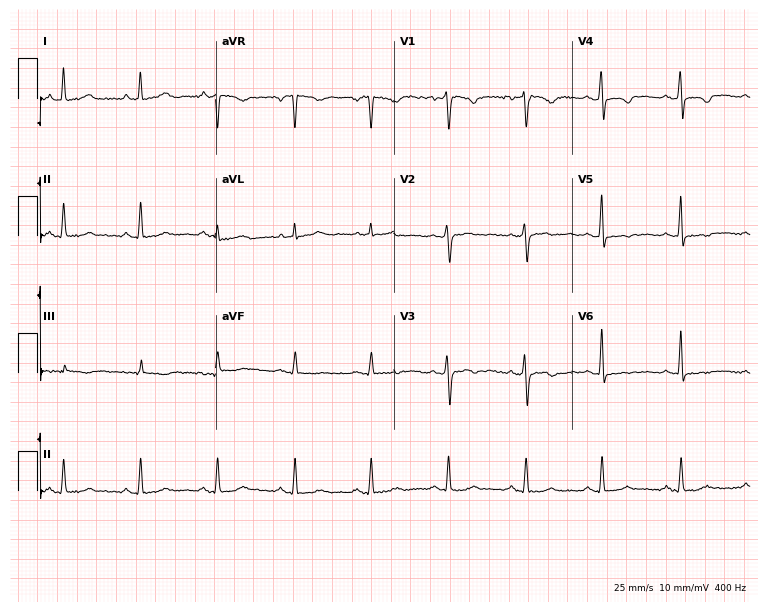
12-lead ECG from a female patient, 39 years old. Screened for six findings — first-degree AV block, right bundle branch block, left bundle branch block, sinus bradycardia, atrial fibrillation, sinus tachycardia — none is recorded.